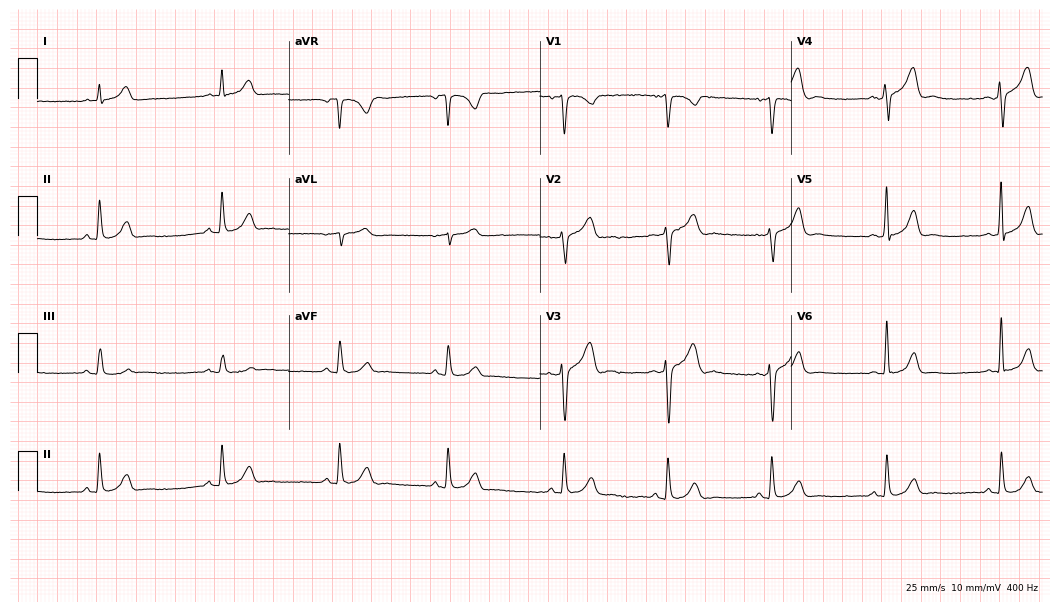
12-lead ECG from a male, 36 years old (10.2-second recording at 400 Hz). No first-degree AV block, right bundle branch block, left bundle branch block, sinus bradycardia, atrial fibrillation or sinus tachycardia recorded for this tracing.